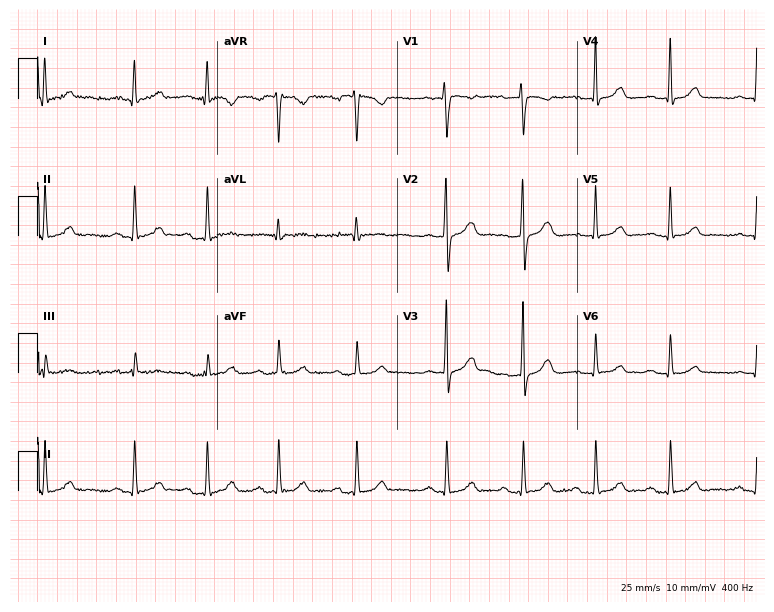
Resting 12-lead electrocardiogram (7.3-second recording at 400 Hz). Patient: a 26-year-old female. Read as a normal ECG.